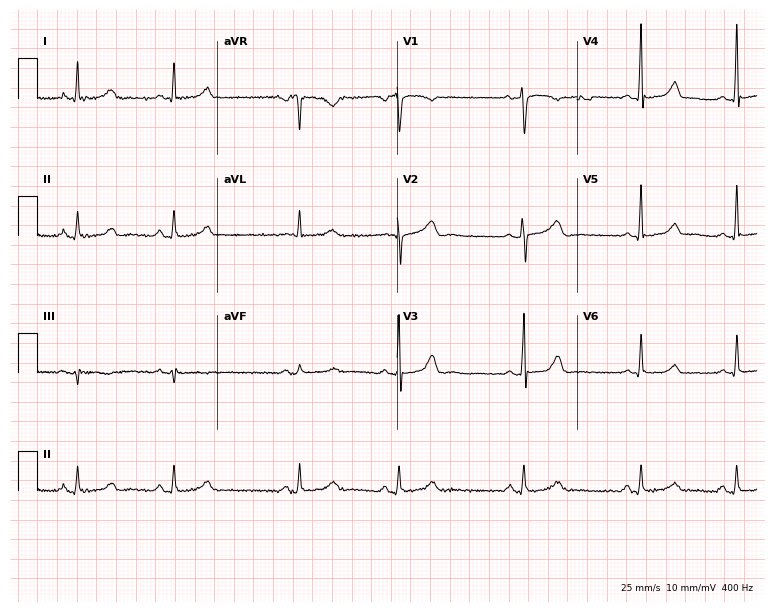
Standard 12-lead ECG recorded from a woman, 37 years old (7.3-second recording at 400 Hz). None of these six findings is recorded: first-degree AV block, right bundle branch block, left bundle branch block, sinus bradycardia, atrial fibrillation, sinus tachycardia.